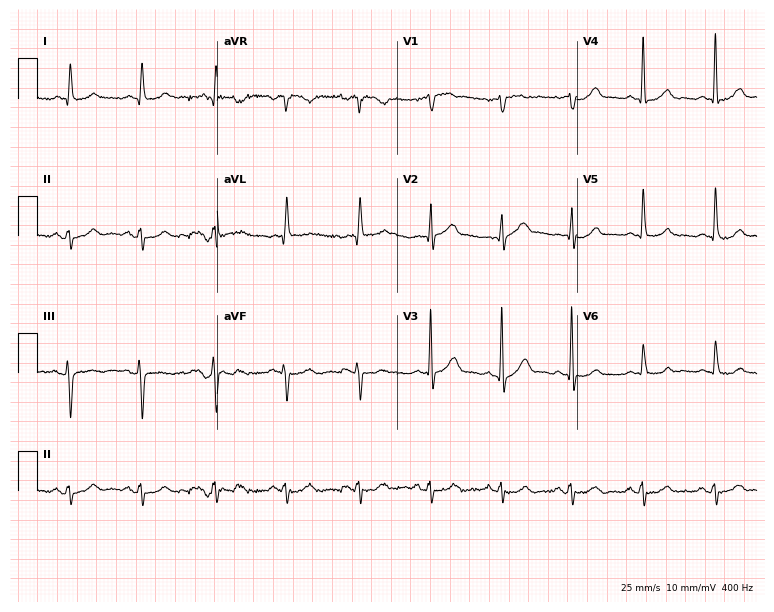
ECG (7.3-second recording at 400 Hz) — a 59-year-old male patient. Screened for six findings — first-degree AV block, right bundle branch block, left bundle branch block, sinus bradycardia, atrial fibrillation, sinus tachycardia — none is recorded.